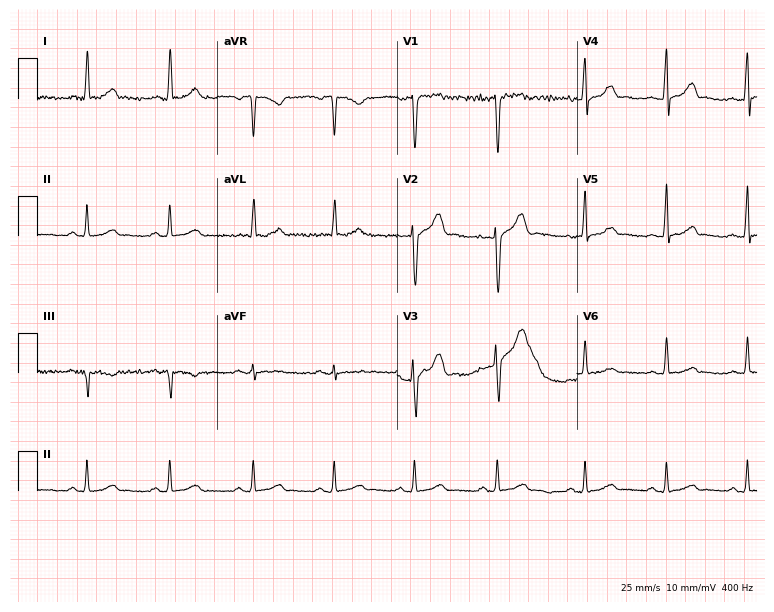
12-lead ECG (7.3-second recording at 400 Hz) from a 36-year-old male. Labelled as a normal ECG.